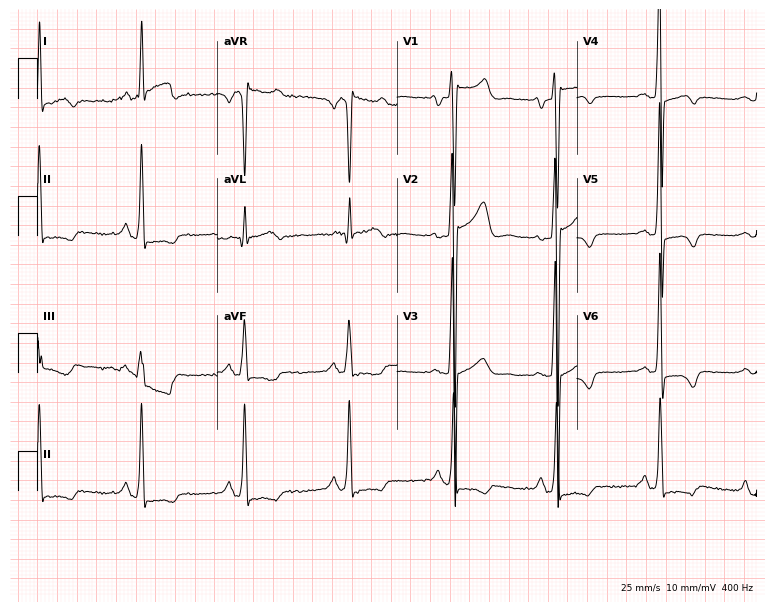
ECG (7.3-second recording at 400 Hz) — a female patient, 65 years old. Screened for six findings — first-degree AV block, right bundle branch block (RBBB), left bundle branch block (LBBB), sinus bradycardia, atrial fibrillation (AF), sinus tachycardia — none is recorded. Findings outside these six are not listed.